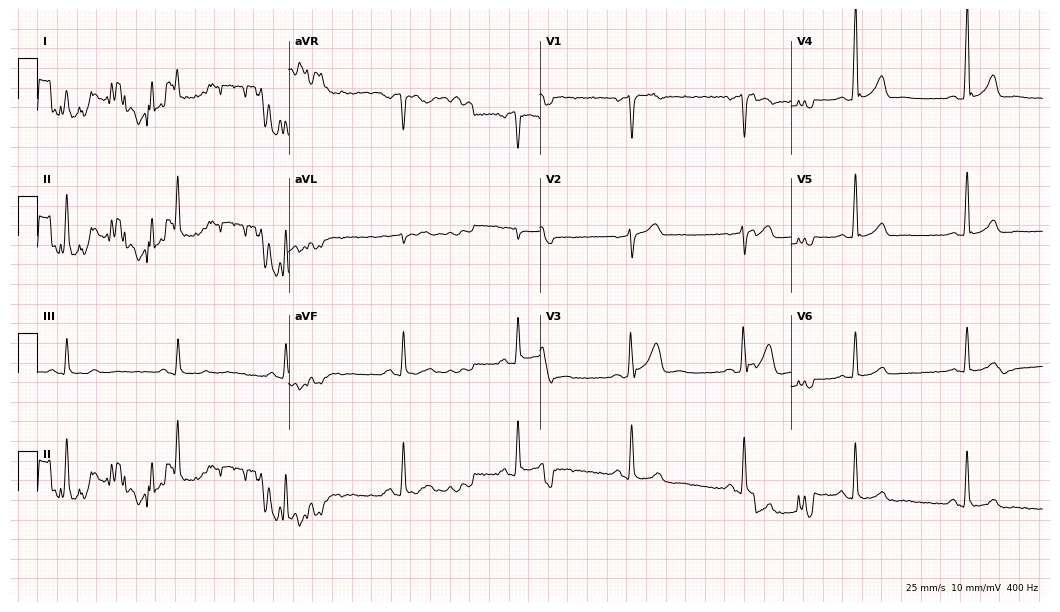
ECG — a man, 55 years old. Screened for six findings — first-degree AV block, right bundle branch block, left bundle branch block, sinus bradycardia, atrial fibrillation, sinus tachycardia — none is recorded.